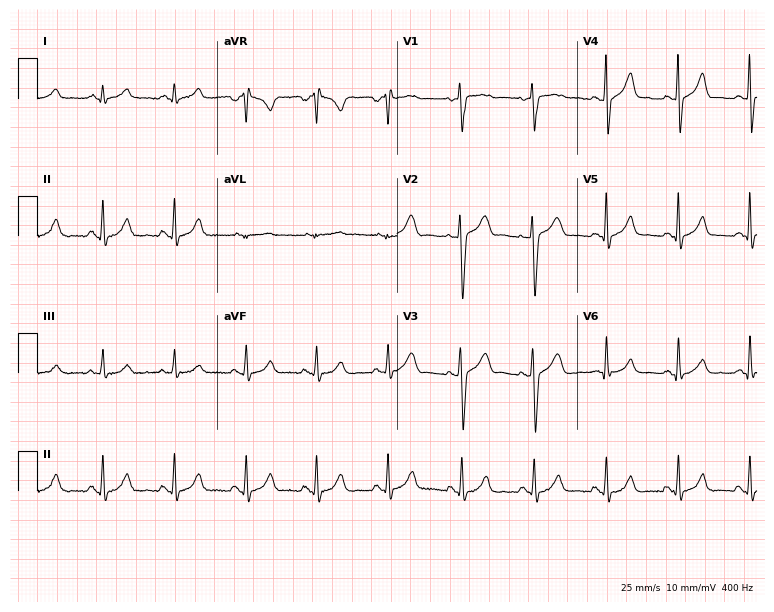
Resting 12-lead electrocardiogram. Patient: a 25-year-old man. None of these six findings is recorded: first-degree AV block, right bundle branch block, left bundle branch block, sinus bradycardia, atrial fibrillation, sinus tachycardia.